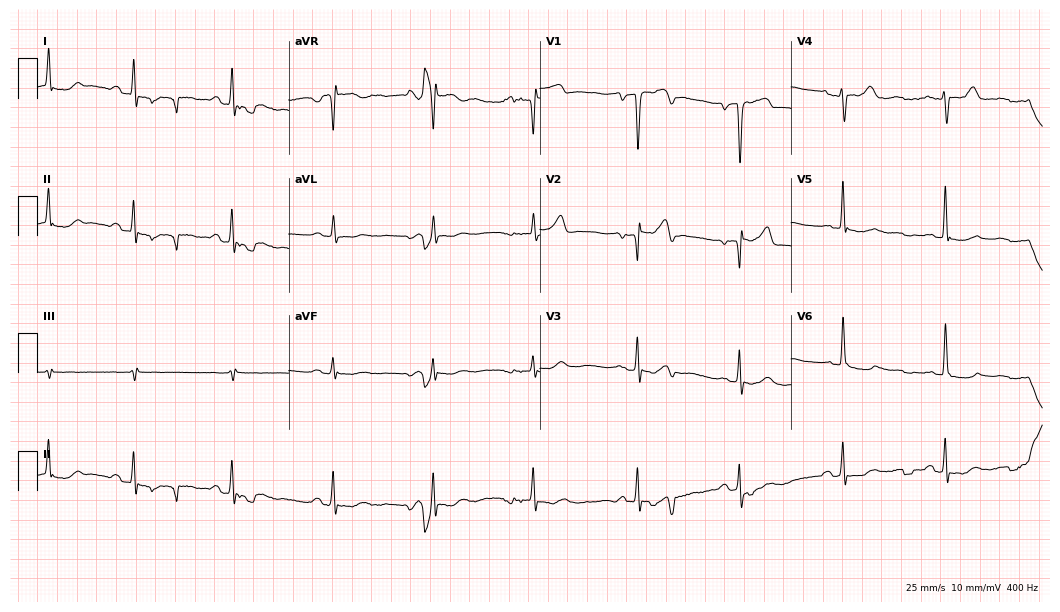
ECG — a female, 87 years old. Screened for six findings — first-degree AV block, right bundle branch block, left bundle branch block, sinus bradycardia, atrial fibrillation, sinus tachycardia — none is recorded.